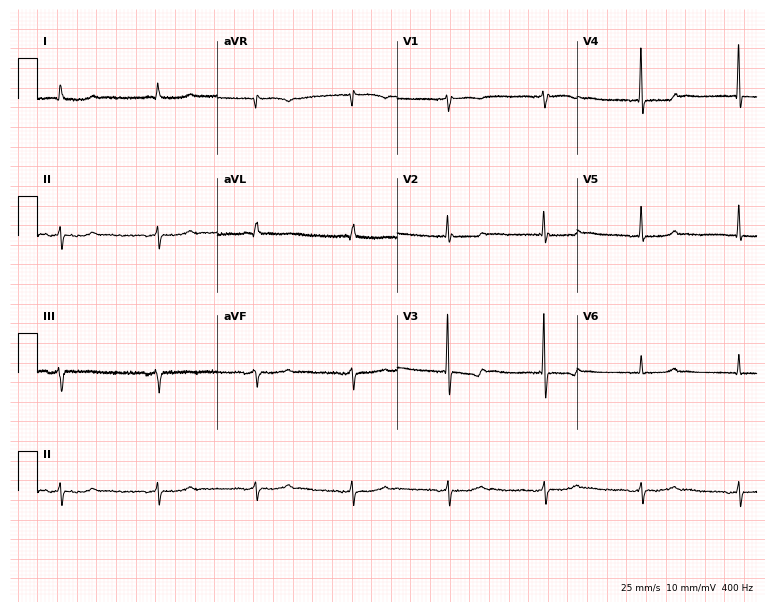
ECG — a woman, 75 years old. Screened for six findings — first-degree AV block, right bundle branch block, left bundle branch block, sinus bradycardia, atrial fibrillation, sinus tachycardia — none is recorded.